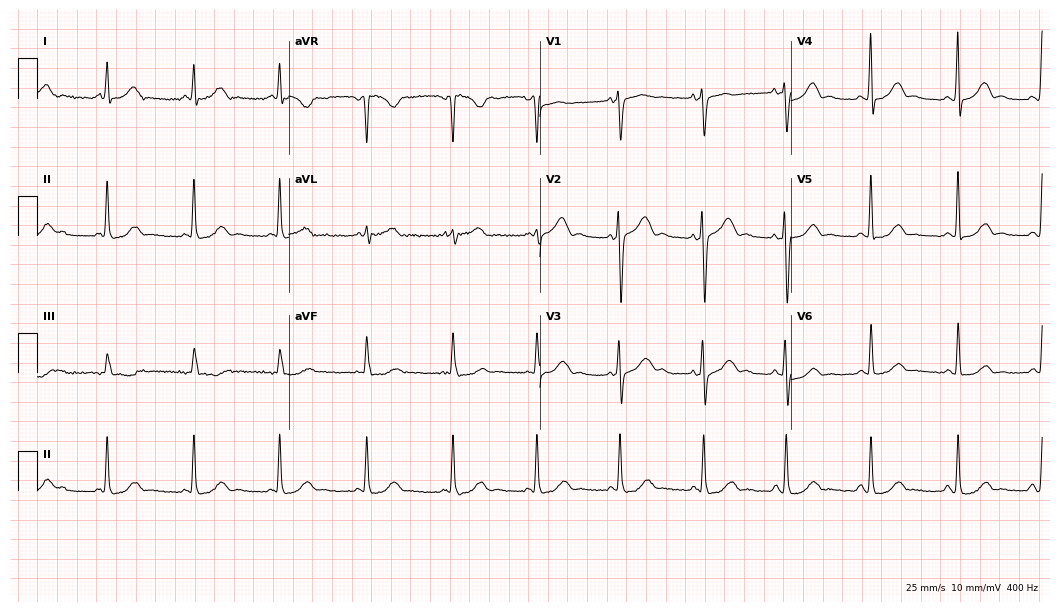
Standard 12-lead ECG recorded from a 51-year-old female (10.2-second recording at 400 Hz). None of these six findings is recorded: first-degree AV block, right bundle branch block (RBBB), left bundle branch block (LBBB), sinus bradycardia, atrial fibrillation (AF), sinus tachycardia. Findings outside these six are not listed.